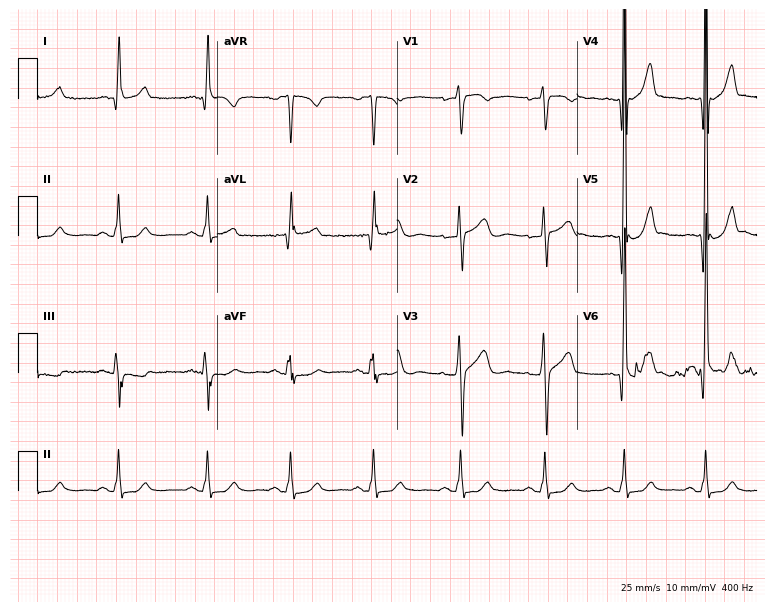
12-lead ECG from a male patient, 33 years old. Labelled as a normal ECG.